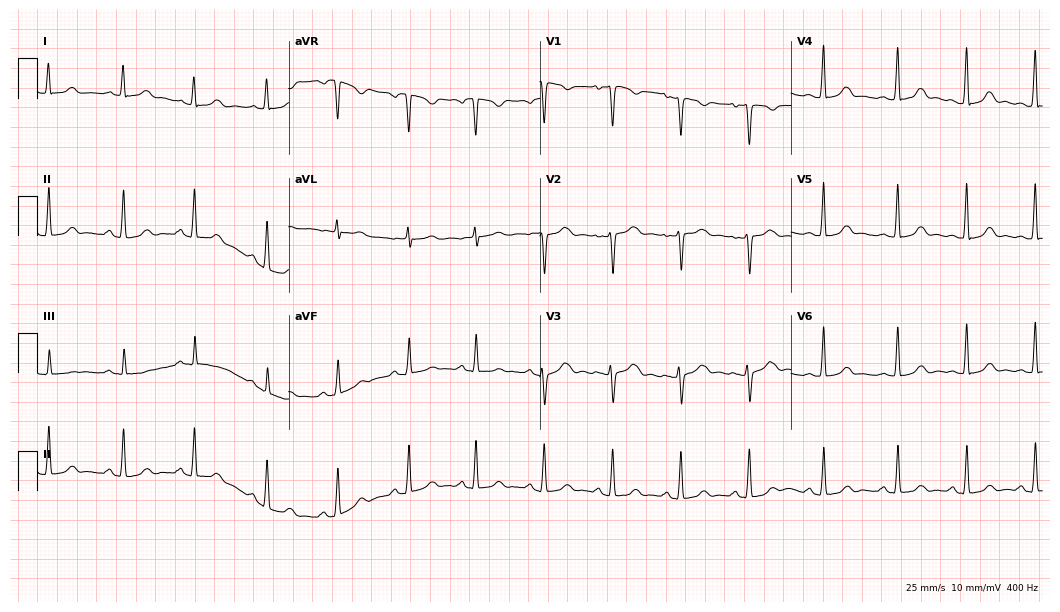
Electrocardiogram, a female patient, 32 years old. Overall reading on record: normal ECG.